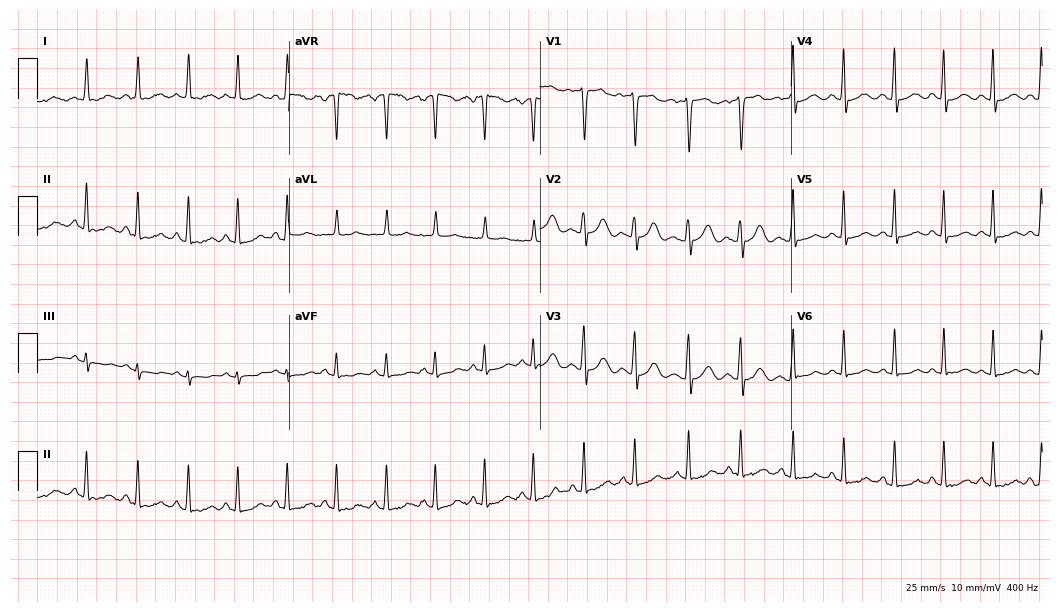
12-lead ECG from a woman, 44 years old. Findings include sinus tachycardia (a sinus rate of 100 beats per minute or more).